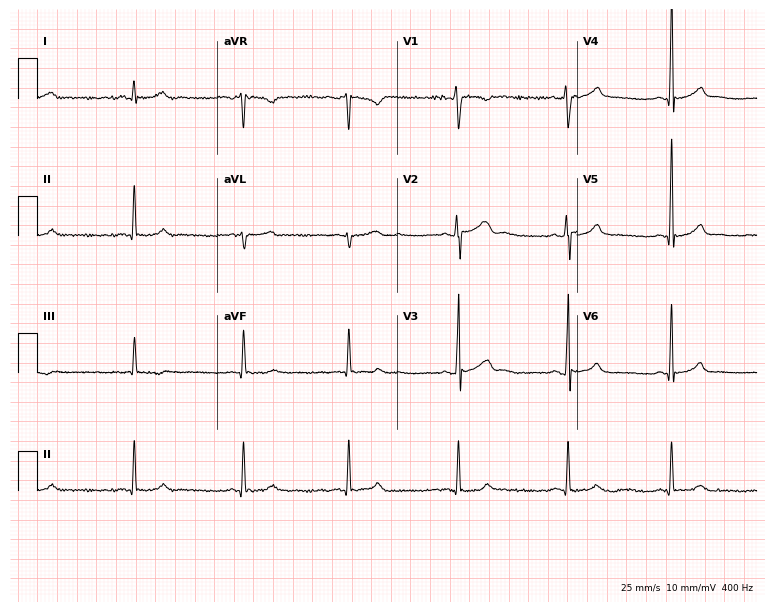
12-lead ECG from a 27-year-old man. Screened for six findings — first-degree AV block, right bundle branch block, left bundle branch block, sinus bradycardia, atrial fibrillation, sinus tachycardia — none is recorded.